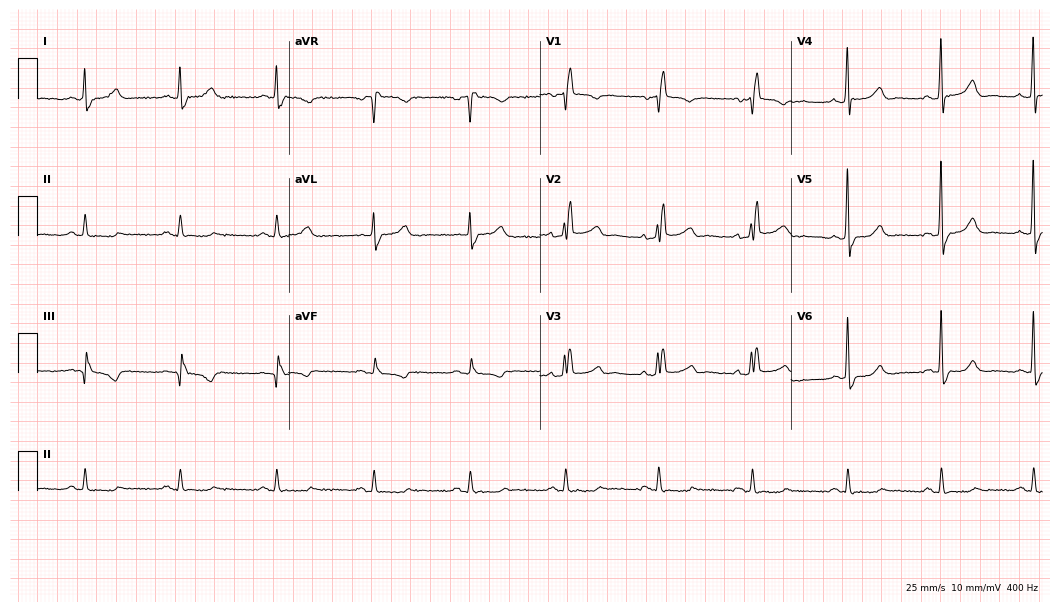
Standard 12-lead ECG recorded from a 64-year-old man (10.2-second recording at 400 Hz). The tracing shows right bundle branch block.